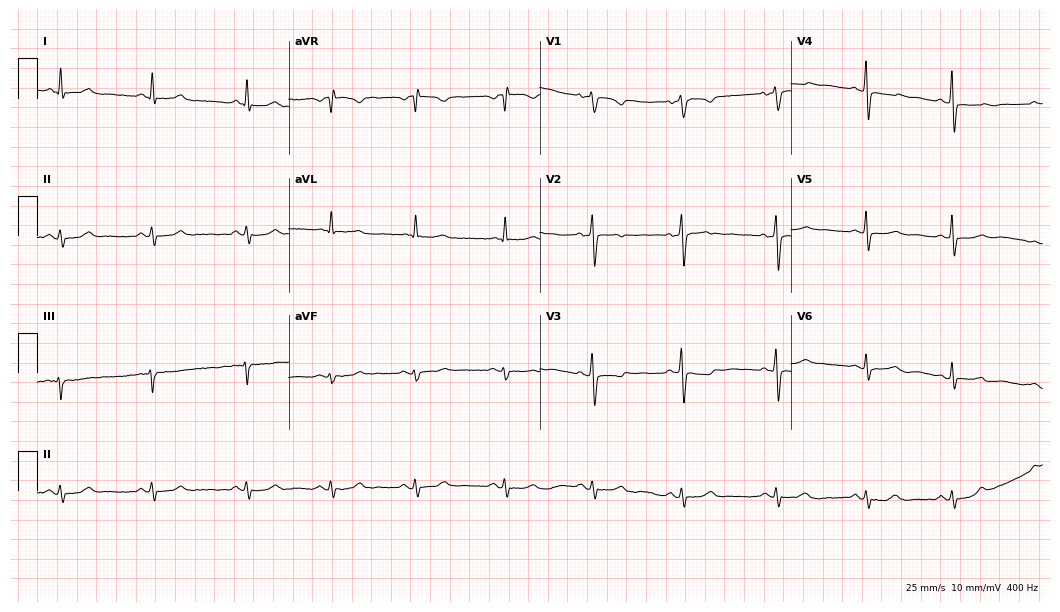
12-lead ECG from a 57-year-old female (10.2-second recording at 400 Hz). No first-degree AV block, right bundle branch block (RBBB), left bundle branch block (LBBB), sinus bradycardia, atrial fibrillation (AF) or sinus tachycardia recorded for this tracing. Only these six findings were labelled.